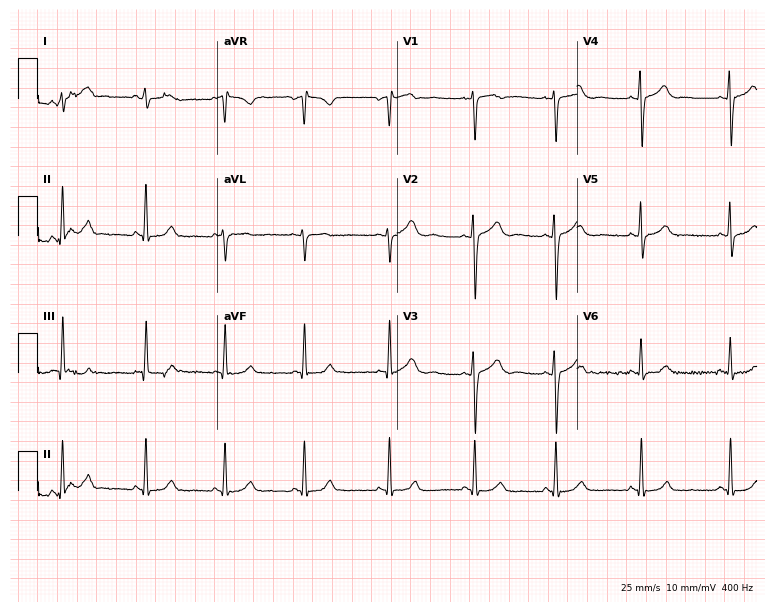
12-lead ECG from a female, 37 years old (7.3-second recording at 400 Hz). Recorded interpretation: within normal limits.